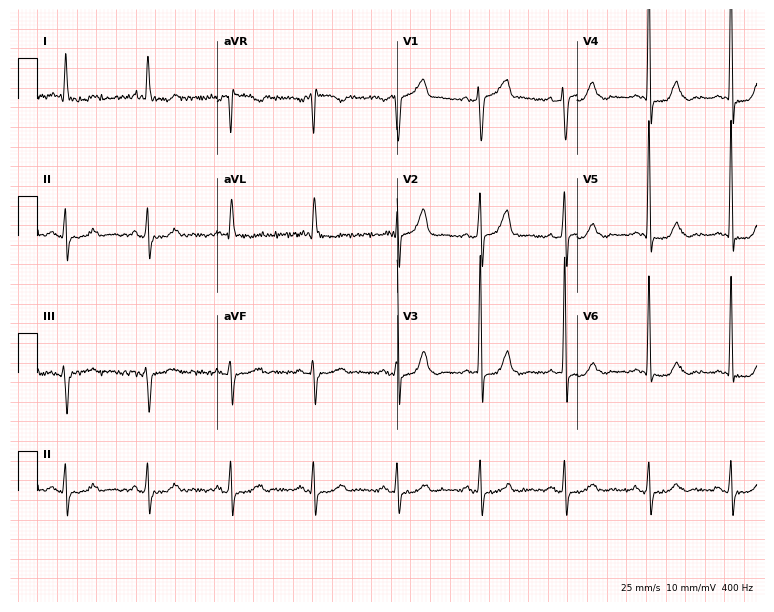
Standard 12-lead ECG recorded from a 71-year-old female patient. None of these six findings is recorded: first-degree AV block, right bundle branch block, left bundle branch block, sinus bradycardia, atrial fibrillation, sinus tachycardia.